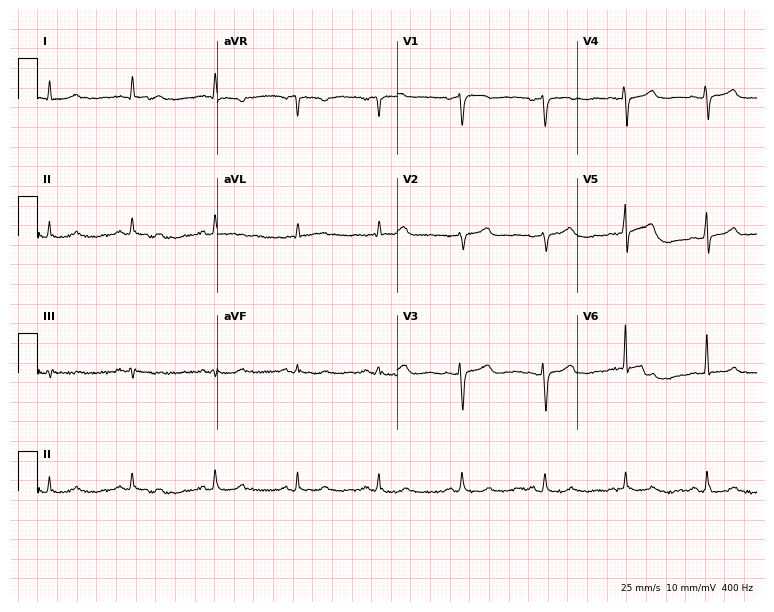
Electrocardiogram, a 73-year-old male patient. Overall reading on record: normal ECG.